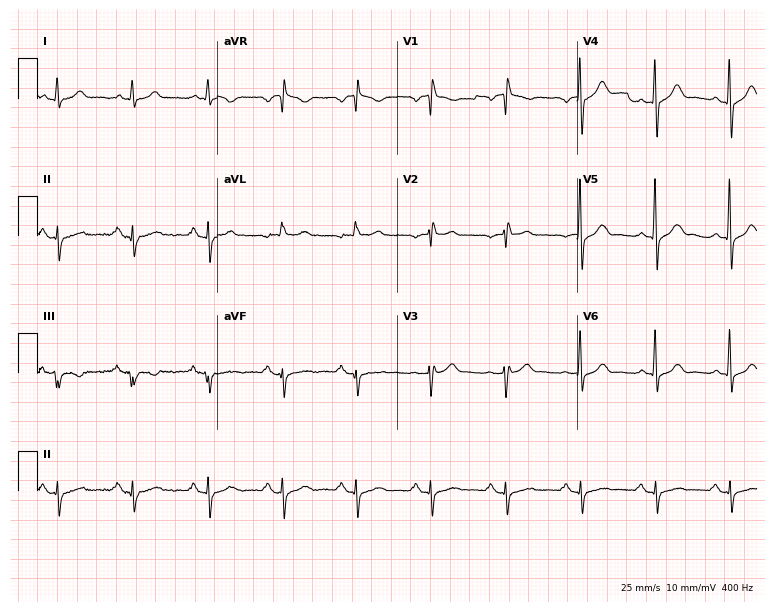
Resting 12-lead electrocardiogram. Patient: a male, 69 years old. None of these six findings is recorded: first-degree AV block, right bundle branch block (RBBB), left bundle branch block (LBBB), sinus bradycardia, atrial fibrillation (AF), sinus tachycardia. Other findings, if any, are not listed.